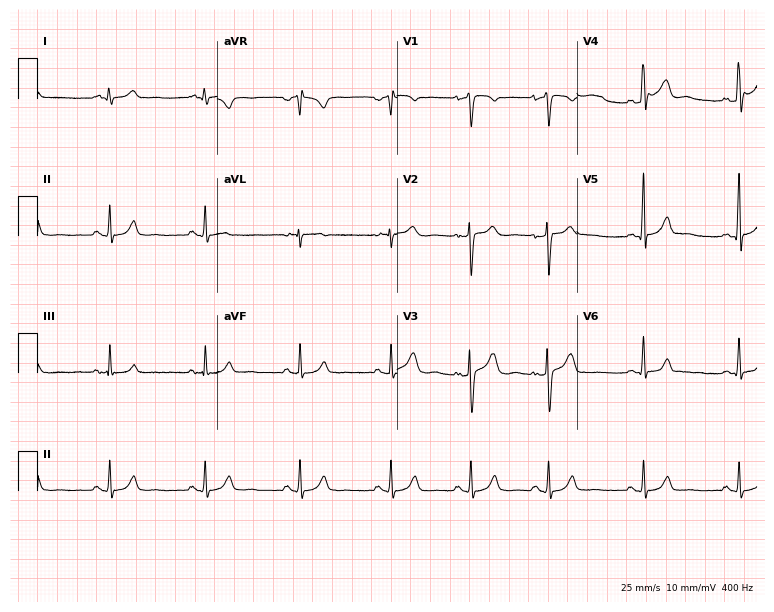
12-lead ECG from a 30-year-old male patient. Labelled as a normal ECG.